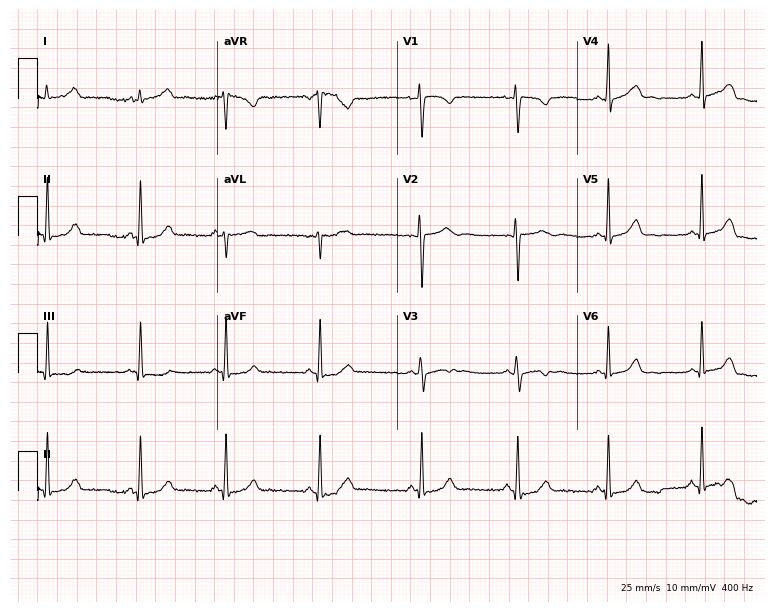
12-lead ECG from a woman, 20 years old (7.3-second recording at 400 Hz). Recorded interpretation: within normal limits.